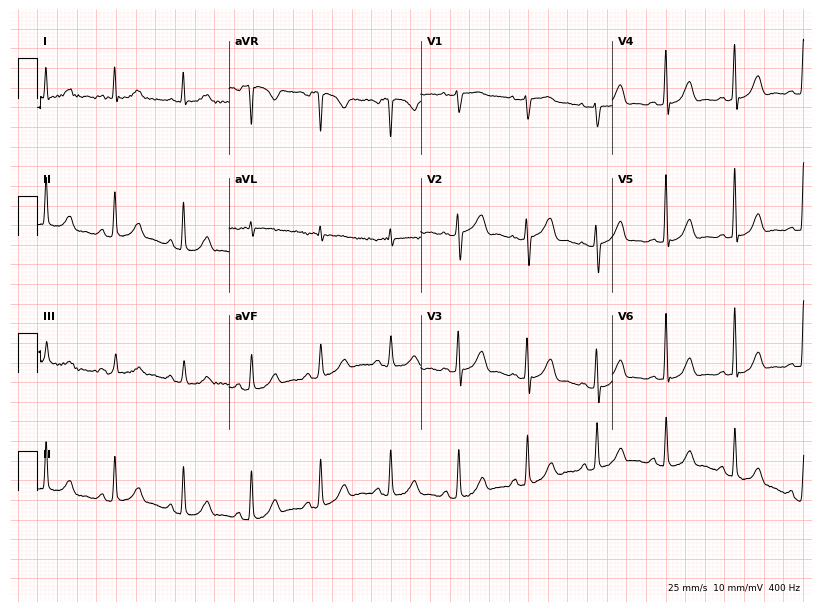
Standard 12-lead ECG recorded from a female, 81 years old. Read as a normal ECG.